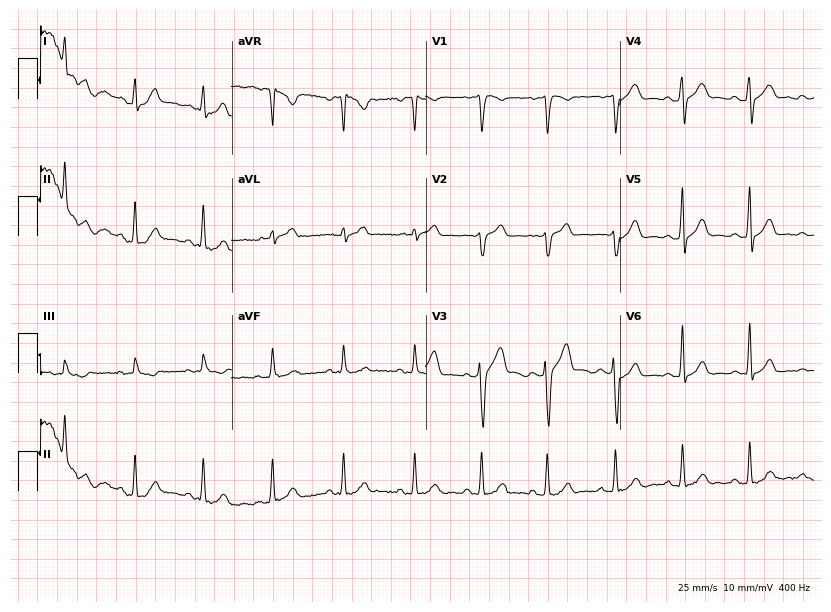
Standard 12-lead ECG recorded from a male, 22 years old (7.9-second recording at 400 Hz). Read as a normal ECG.